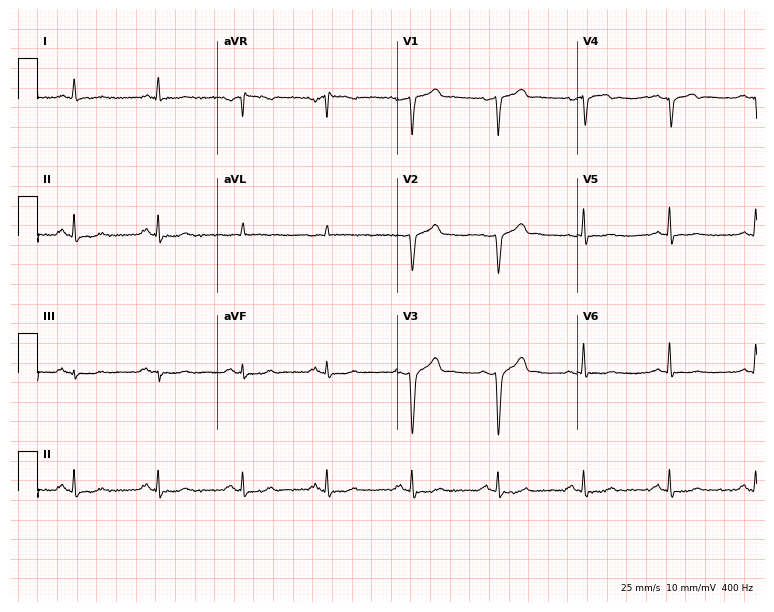
Electrocardiogram (7.3-second recording at 400 Hz), a man, 60 years old. Of the six screened findings (first-degree AV block, right bundle branch block, left bundle branch block, sinus bradycardia, atrial fibrillation, sinus tachycardia), none is recorded.